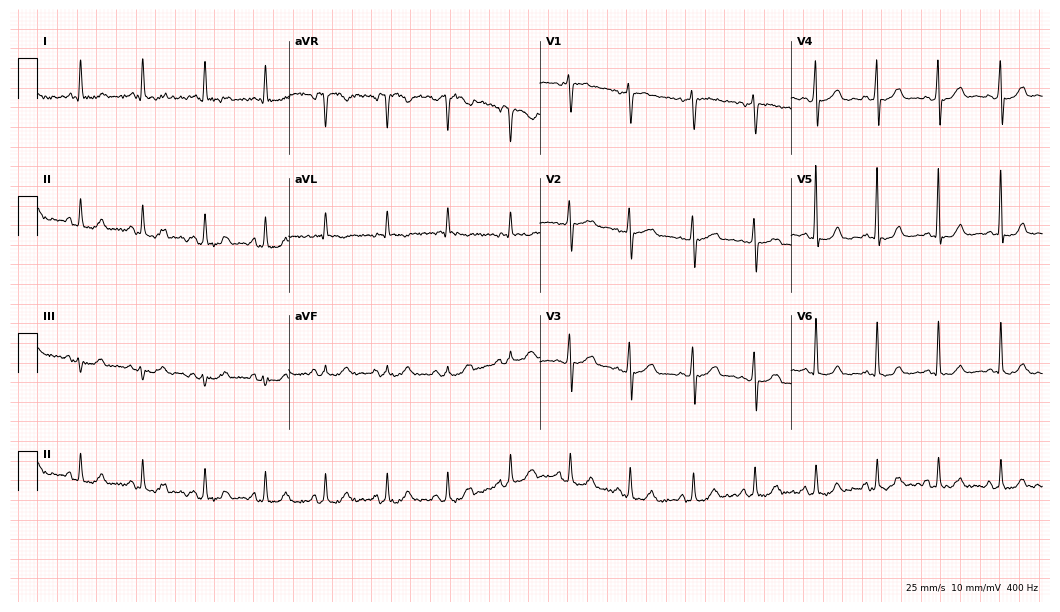
Resting 12-lead electrocardiogram. Patient: a 69-year-old woman. None of these six findings is recorded: first-degree AV block, right bundle branch block (RBBB), left bundle branch block (LBBB), sinus bradycardia, atrial fibrillation (AF), sinus tachycardia. Other findings, if any, are not listed.